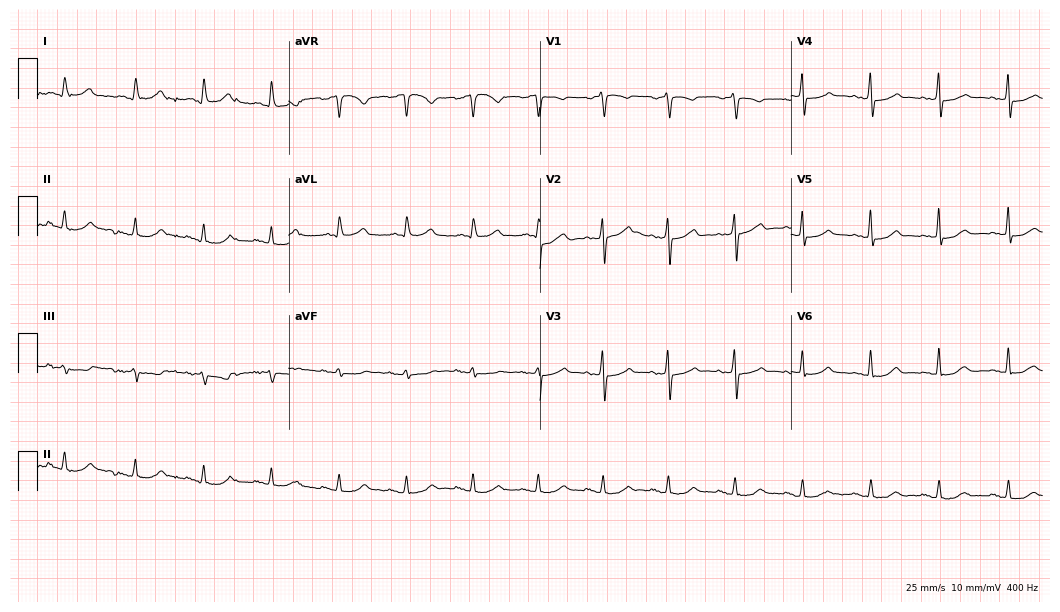
12-lead ECG from a 73-year-old woman (10.2-second recording at 400 Hz). No first-degree AV block, right bundle branch block, left bundle branch block, sinus bradycardia, atrial fibrillation or sinus tachycardia recorded for this tracing. Other findings, if any, are not listed.